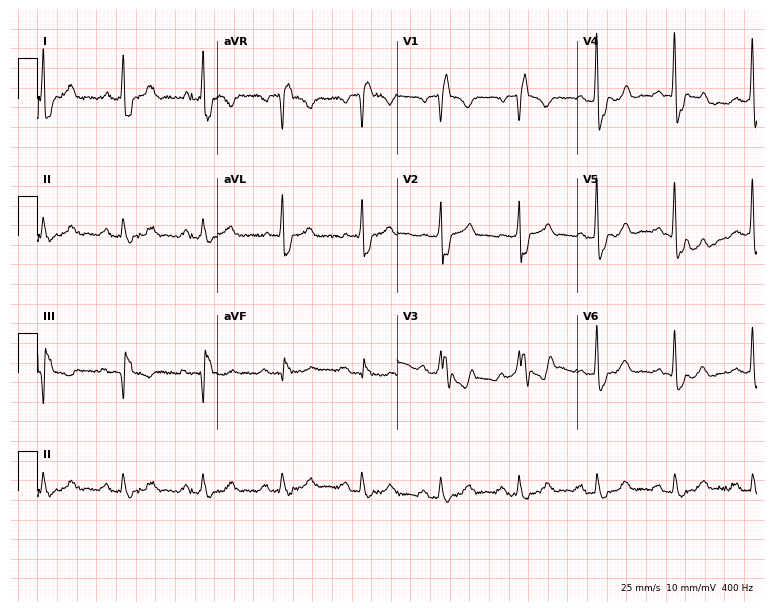
Standard 12-lead ECG recorded from a 78-year-old man (7.3-second recording at 400 Hz). The tracing shows right bundle branch block (RBBB).